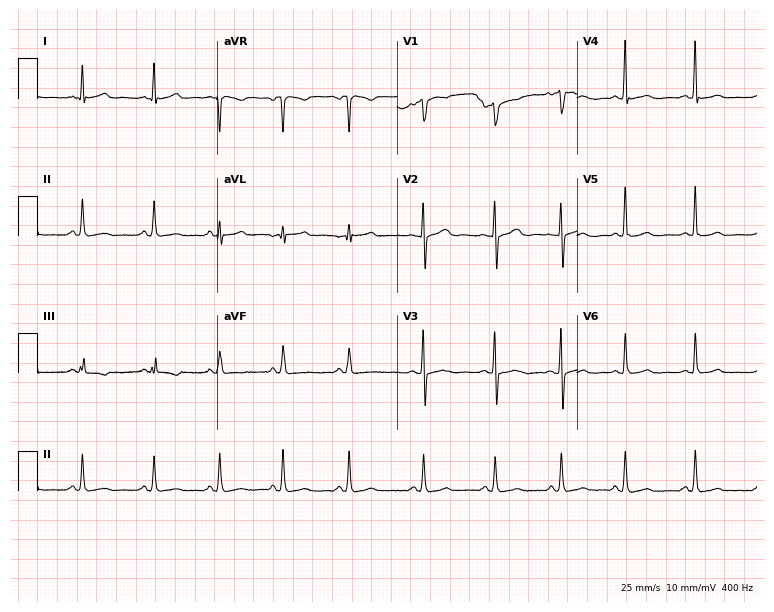
Electrocardiogram (7.3-second recording at 400 Hz), a woman, 33 years old. Overall reading on record: normal ECG.